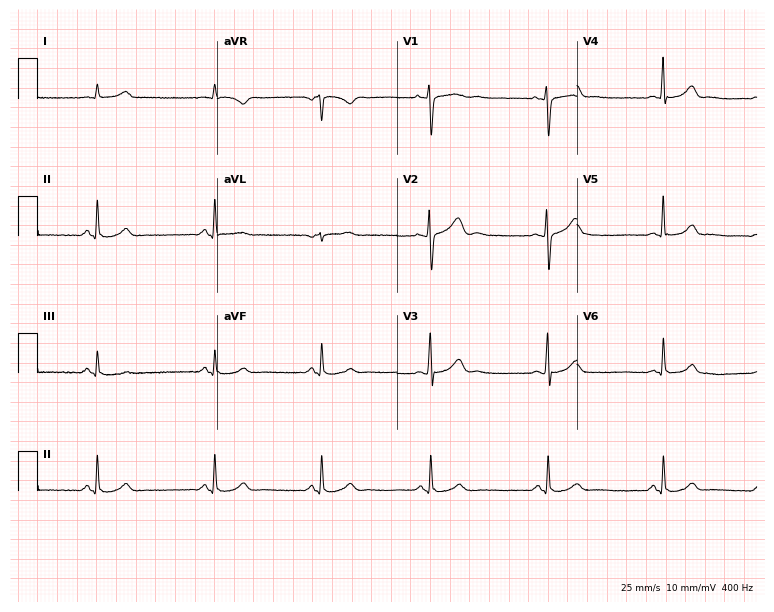
Standard 12-lead ECG recorded from a female, 24 years old. Read as a normal ECG.